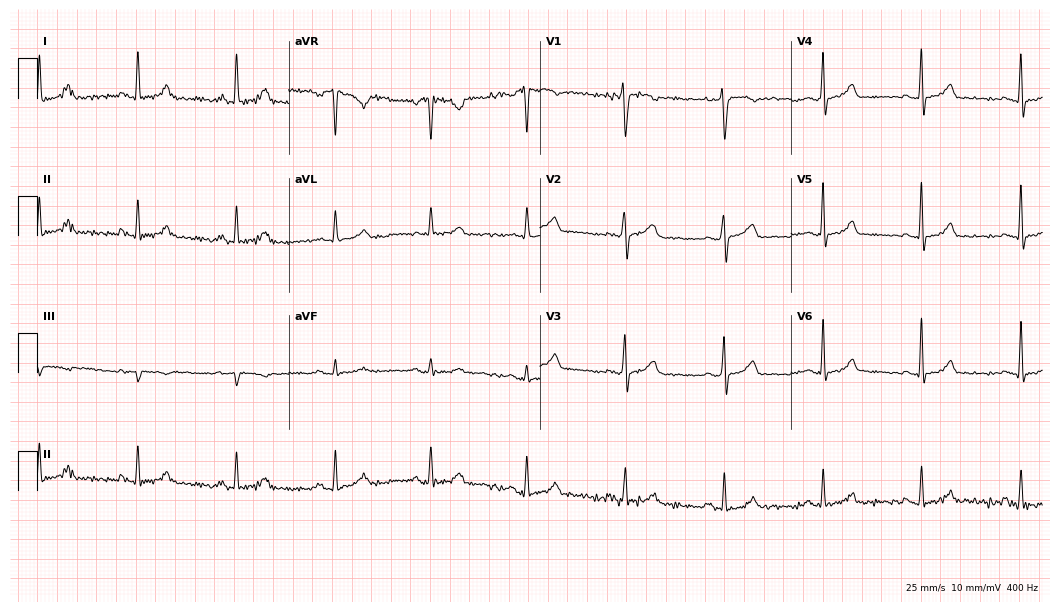
Resting 12-lead electrocardiogram (10.2-second recording at 400 Hz). Patient: a 47-year-old female. None of these six findings is recorded: first-degree AV block, right bundle branch block, left bundle branch block, sinus bradycardia, atrial fibrillation, sinus tachycardia. Findings outside these six are not listed.